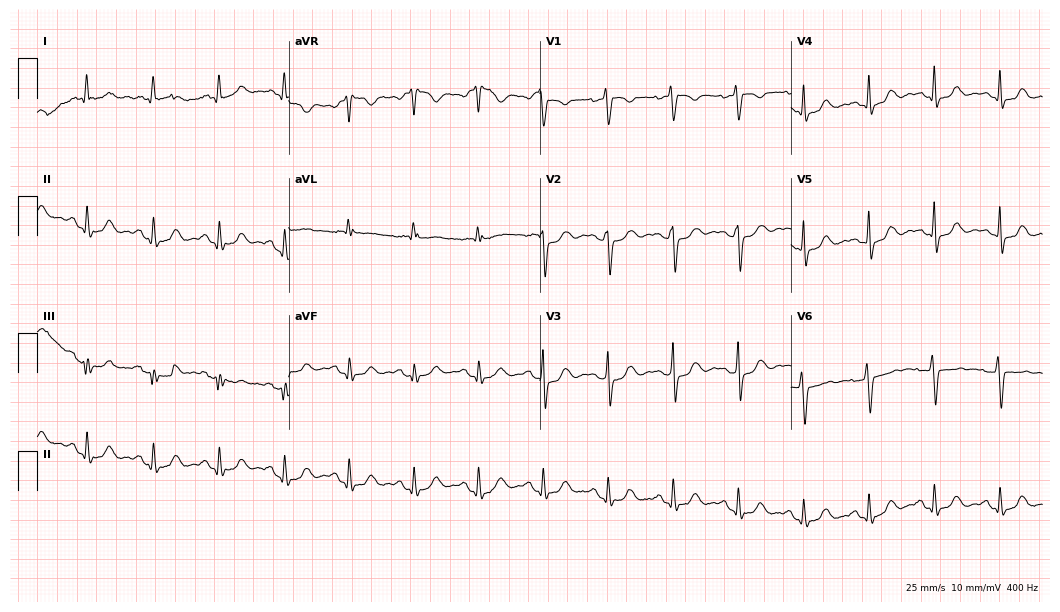
12-lead ECG (10.2-second recording at 400 Hz) from a female patient, 56 years old. Screened for six findings — first-degree AV block, right bundle branch block, left bundle branch block, sinus bradycardia, atrial fibrillation, sinus tachycardia — none is recorded.